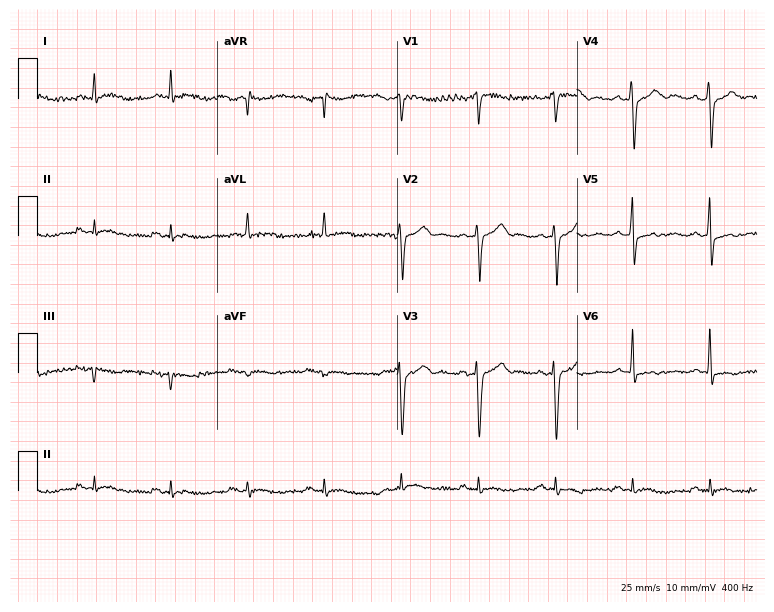
12-lead ECG from a man, 58 years old. No first-degree AV block, right bundle branch block, left bundle branch block, sinus bradycardia, atrial fibrillation or sinus tachycardia recorded for this tracing.